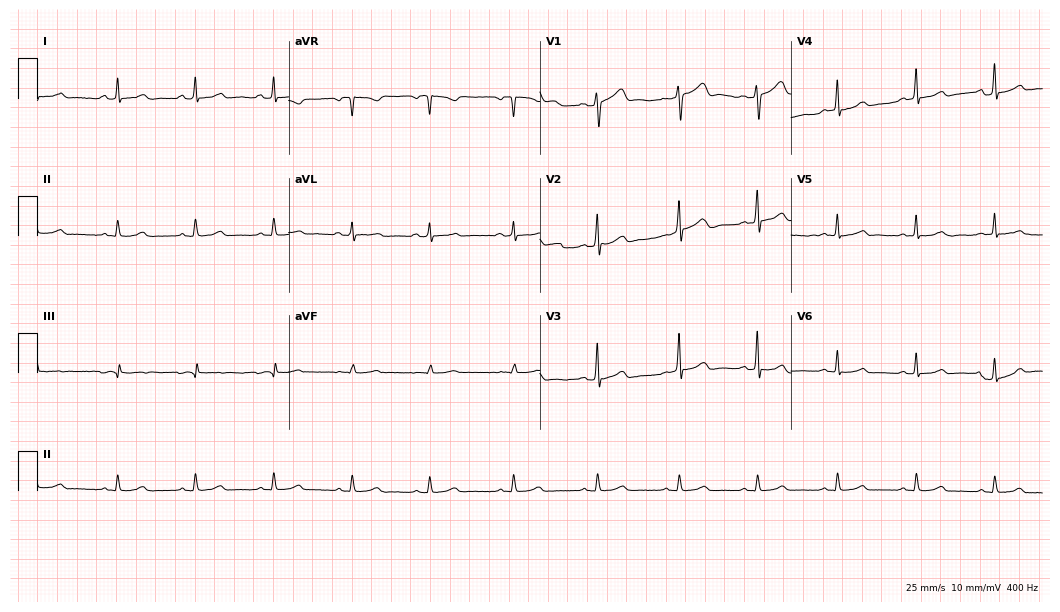
12-lead ECG from a woman, 46 years old (10.2-second recording at 400 Hz). Recorded interpretation: within normal limits.